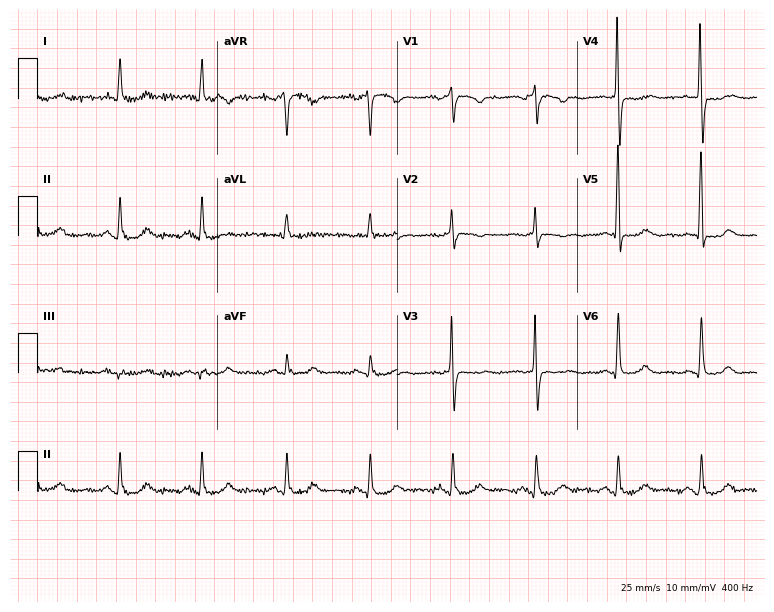
Standard 12-lead ECG recorded from a 64-year-old woman. None of these six findings is recorded: first-degree AV block, right bundle branch block, left bundle branch block, sinus bradycardia, atrial fibrillation, sinus tachycardia.